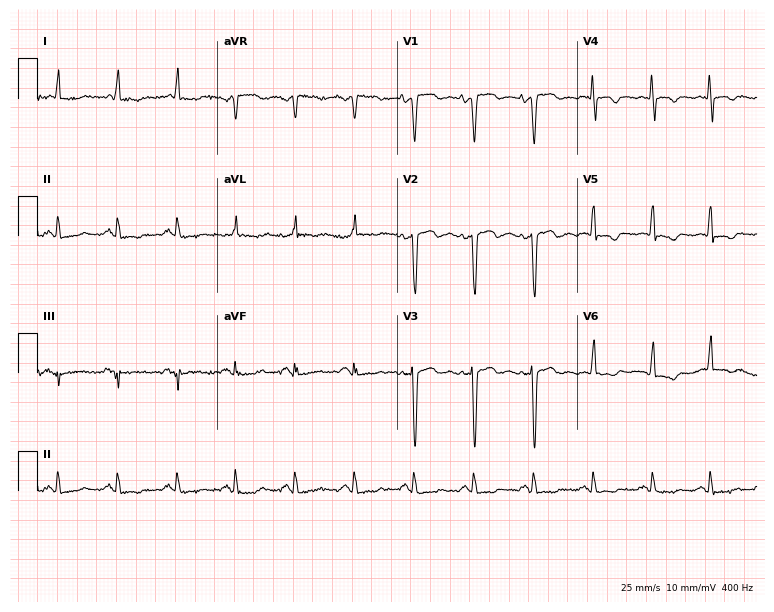
ECG — a 48-year-old female patient. Screened for six findings — first-degree AV block, right bundle branch block, left bundle branch block, sinus bradycardia, atrial fibrillation, sinus tachycardia — none is recorded.